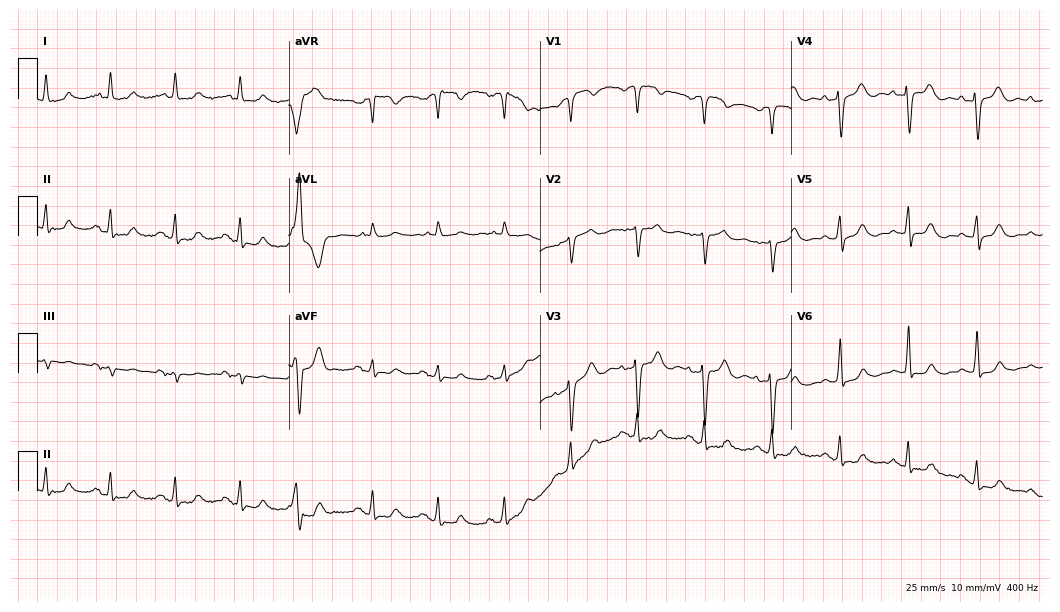
ECG — a man, 68 years old. Labelled as a normal ECG.